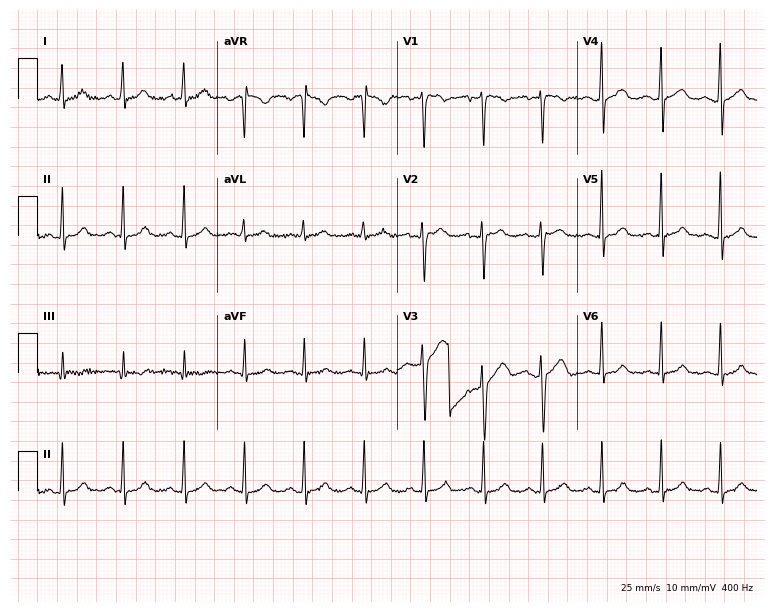
Electrocardiogram (7.3-second recording at 400 Hz), a female, 28 years old. Overall reading on record: normal ECG.